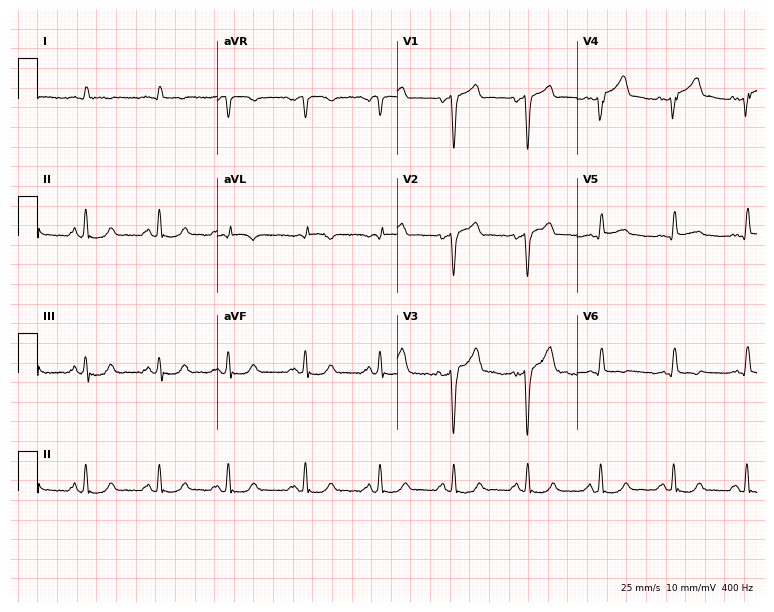
ECG (7.3-second recording at 400 Hz) — a 58-year-old male patient. Screened for six findings — first-degree AV block, right bundle branch block (RBBB), left bundle branch block (LBBB), sinus bradycardia, atrial fibrillation (AF), sinus tachycardia — none is recorded. Other findings, if any, are not listed.